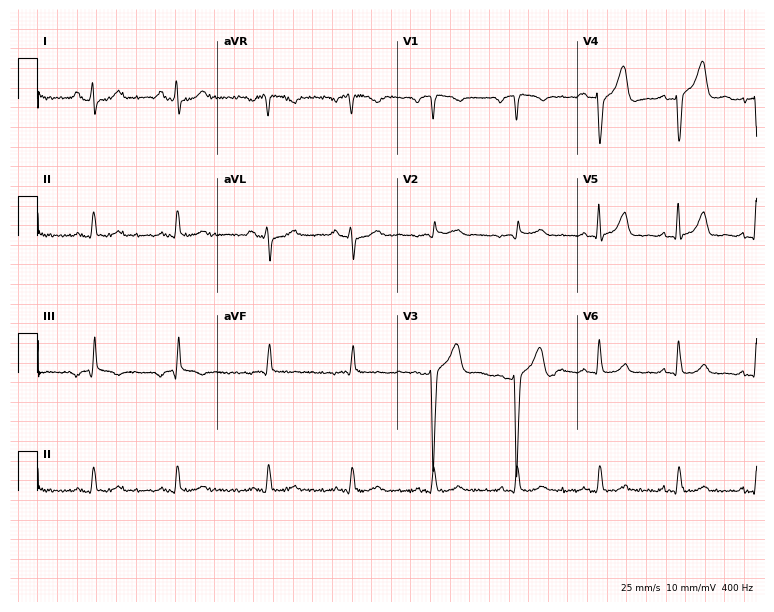
Resting 12-lead electrocardiogram (7.3-second recording at 400 Hz). Patient: a 22-year-old male. None of these six findings is recorded: first-degree AV block, right bundle branch block, left bundle branch block, sinus bradycardia, atrial fibrillation, sinus tachycardia. Only these six findings were labelled.